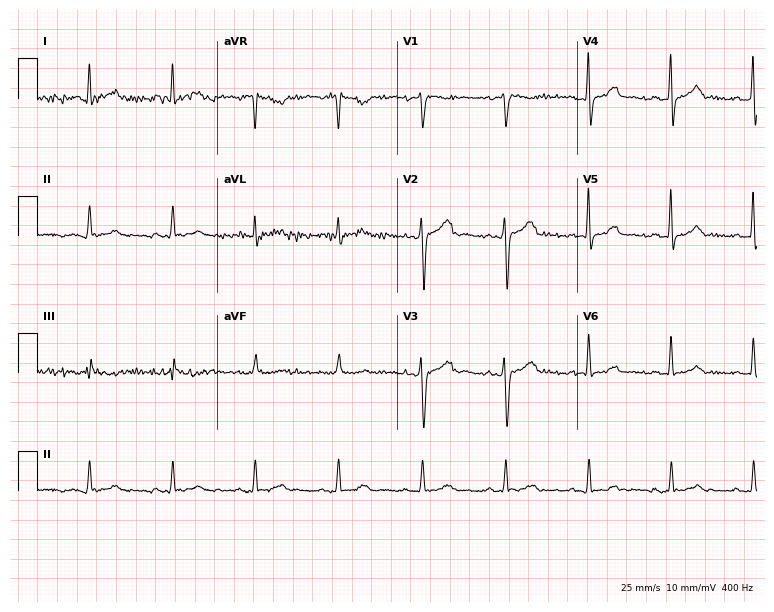
Electrocardiogram (7.3-second recording at 400 Hz), a male patient, 54 years old. Overall reading on record: normal ECG.